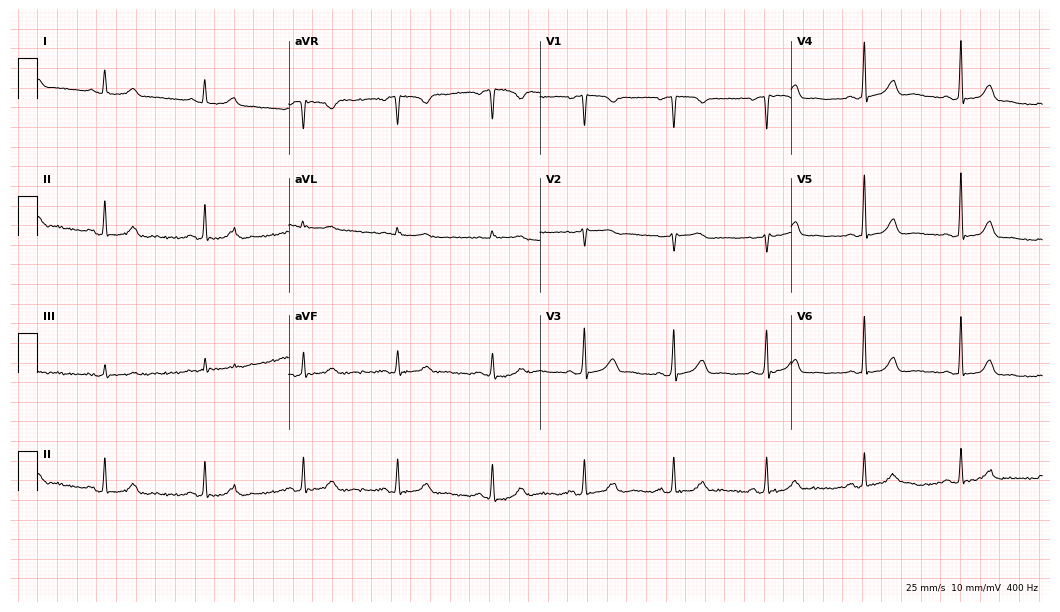
Electrocardiogram (10.2-second recording at 400 Hz), a female, 52 years old. Overall reading on record: normal ECG.